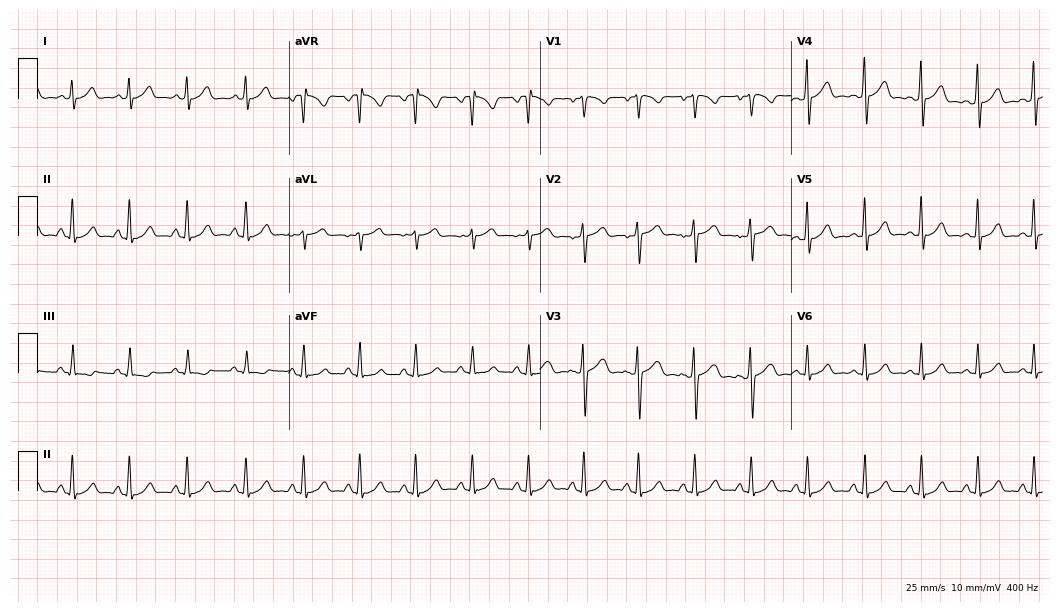
Electrocardiogram, an 18-year-old female. Interpretation includes sinus tachycardia (a sinus rate of 100 beats per minute or more).